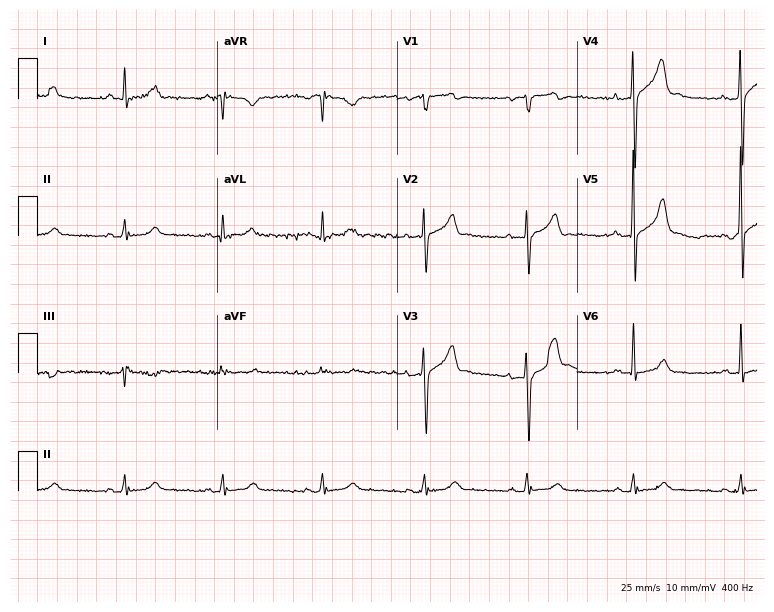
12-lead ECG from a man, 44 years old. Screened for six findings — first-degree AV block, right bundle branch block, left bundle branch block, sinus bradycardia, atrial fibrillation, sinus tachycardia — none is recorded. Other findings, if any, are not listed.